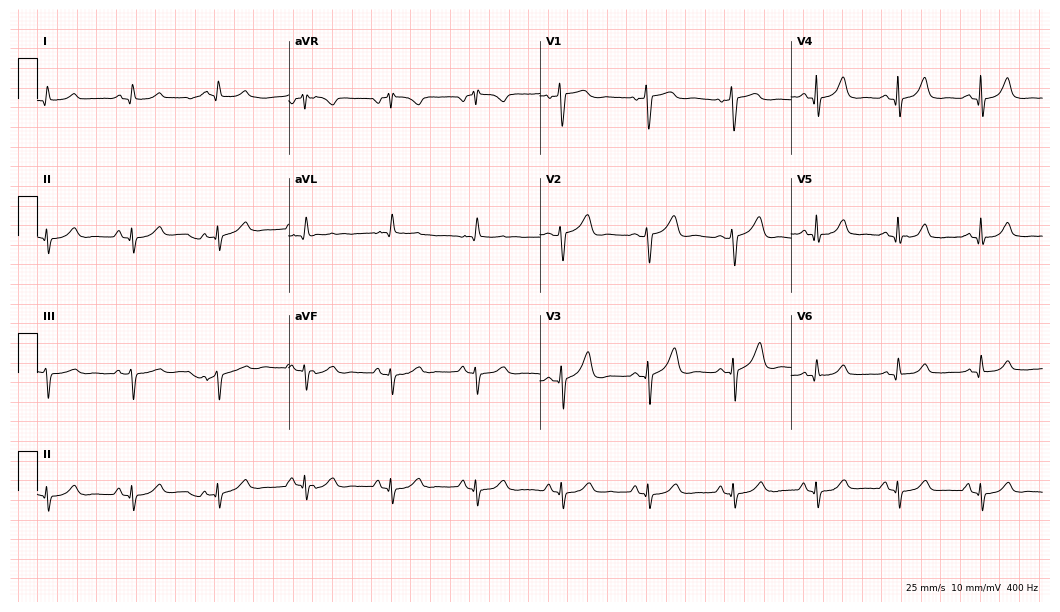
ECG (10.2-second recording at 400 Hz) — a 57-year-old female. Screened for six findings — first-degree AV block, right bundle branch block, left bundle branch block, sinus bradycardia, atrial fibrillation, sinus tachycardia — none is recorded.